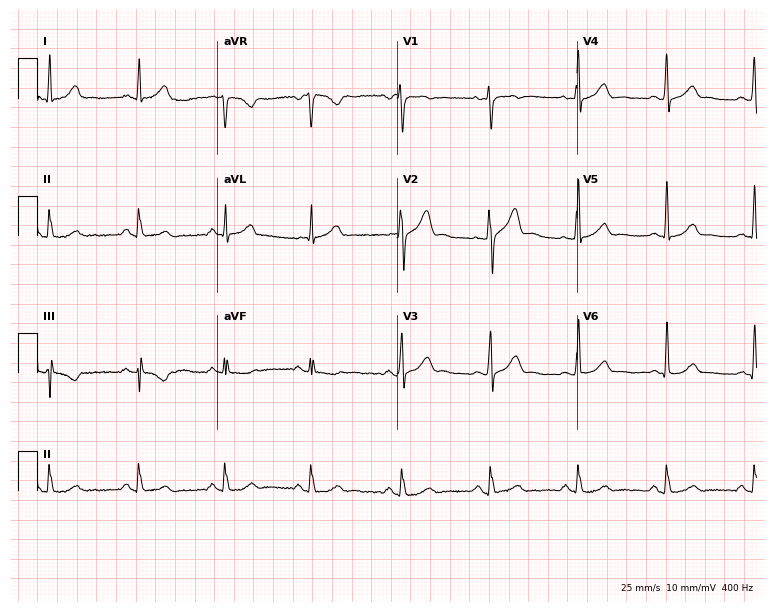
Standard 12-lead ECG recorded from a 37-year-old male patient. Read as a normal ECG.